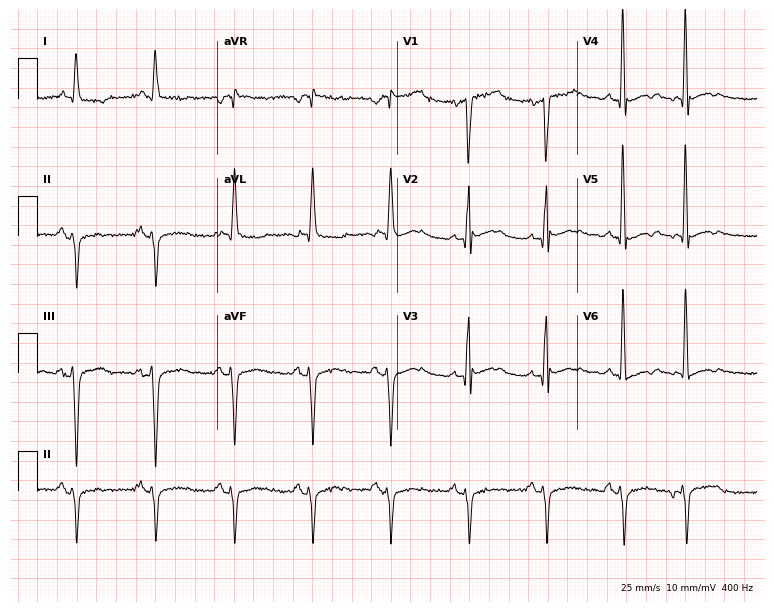
Resting 12-lead electrocardiogram. Patient: a female, 66 years old. None of these six findings is recorded: first-degree AV block, right bundle branch block, left bundle branch block, sinus bradycardia, atrial fibrillation, sinus tachycardia. Only these six findings were labelled.